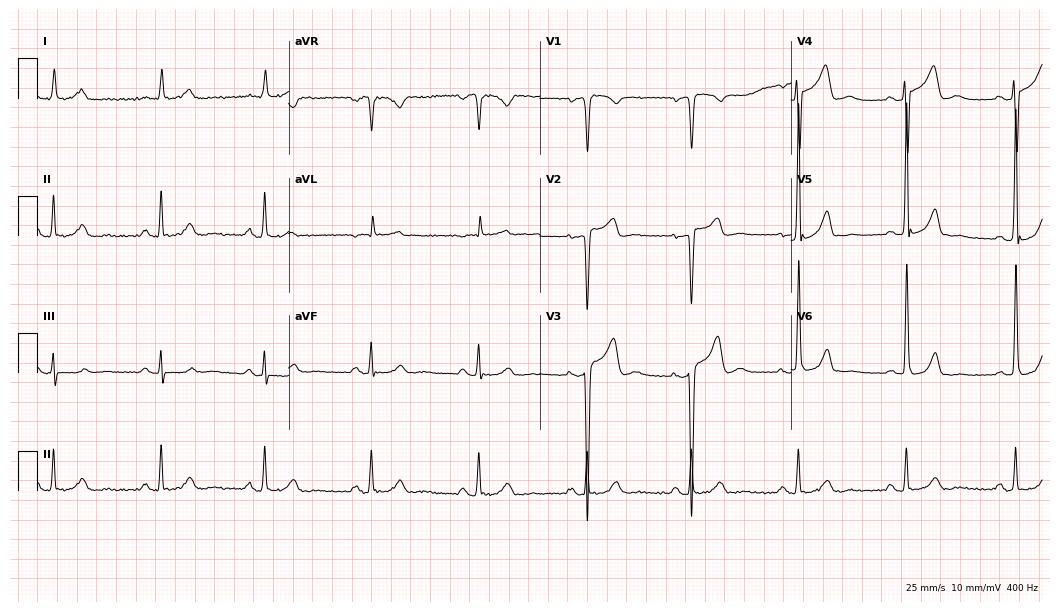
Standard 12-lead ECG recorded from a 60-year-old man. None of these six findings is recorded: first-degree AV block, right bundle branch block, left bundle branch block, sinus bradycardia, atrial fibrillation, sinus tachycardia.